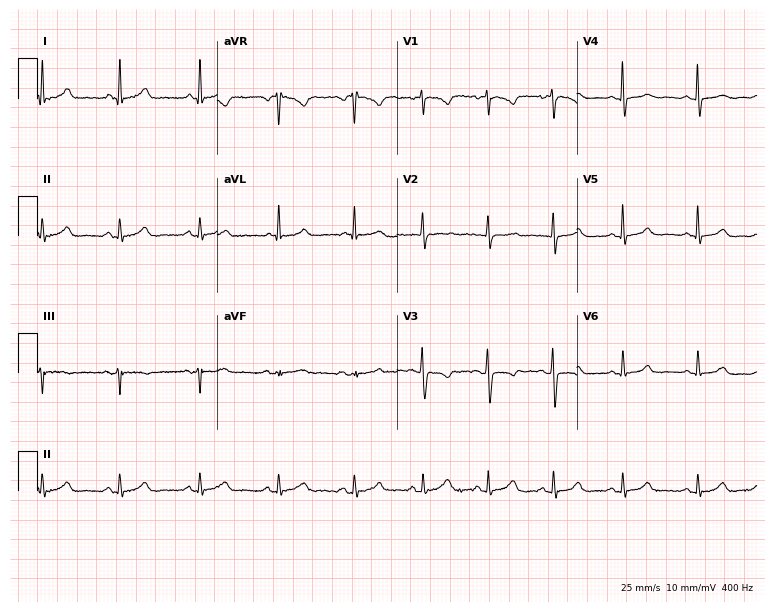
Resting 12-lead electrocardiogram (7.3-second recording at 400 Hz). Patient: a 45-year-old woman. Read as a normal ECG.